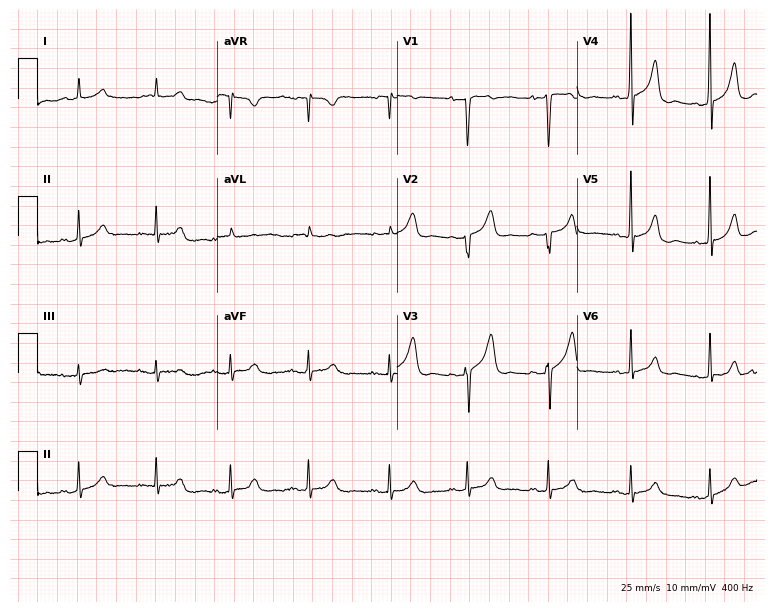
12-lead ECG from a man, 59 years old. Labelled as a normal ECG.